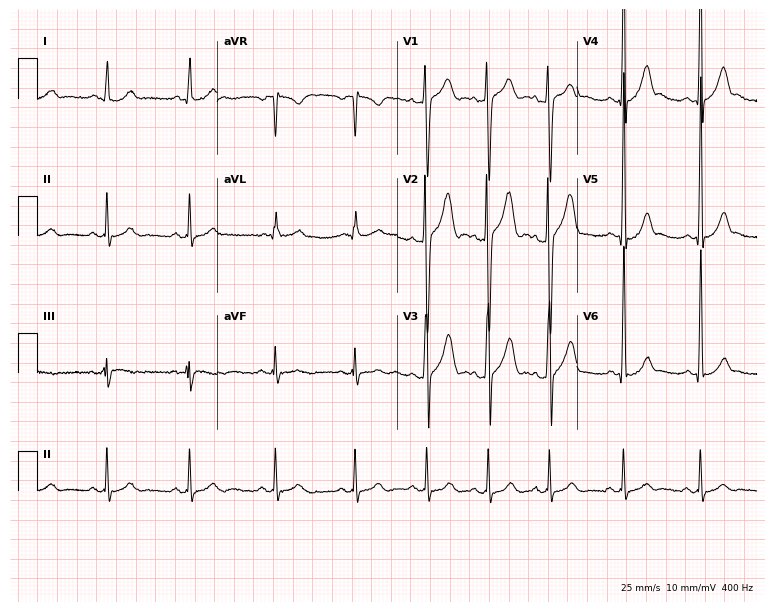
ECG — a male patient, 27 years old. Labelled as a normal ECG.